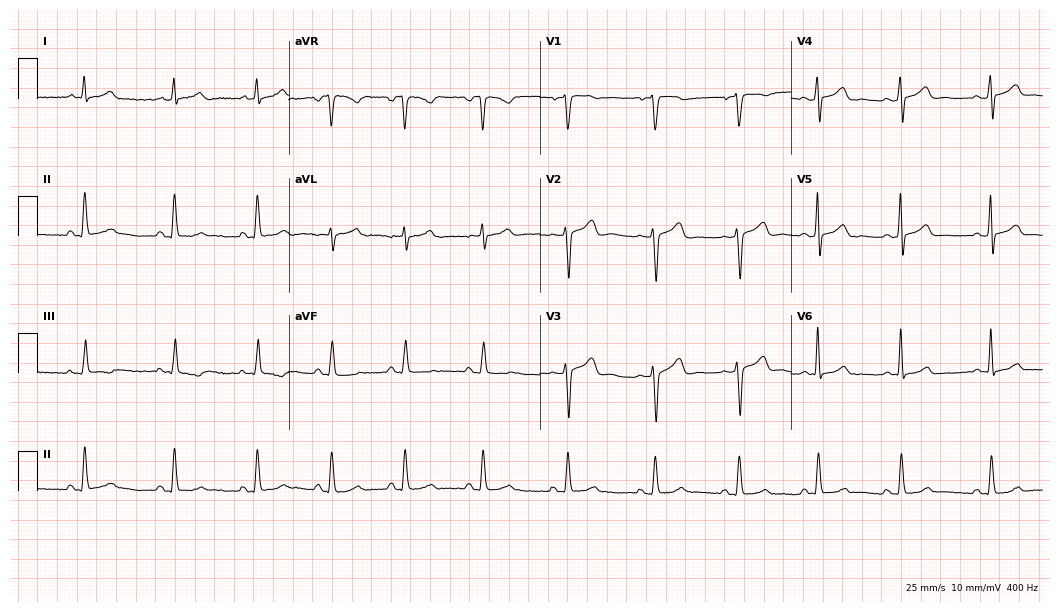
12-lead ECG from a female, 32 years old. No first-degree AV block, right bundle branch block, left bundle branch block, sinus bradycardia, atrial fibrillation or sinus tachycardia recorded for this tracing. Other findings, if any, are not listed.